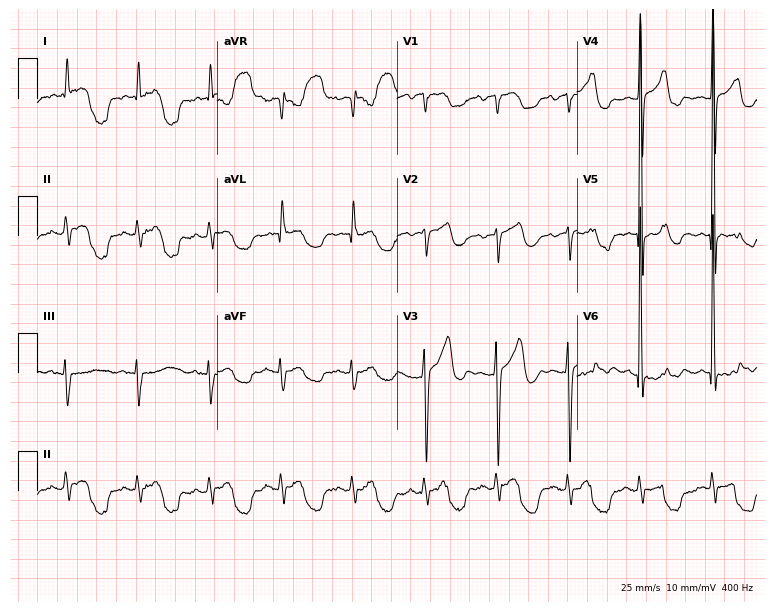
ECG — a 60-year-old male. Screened for six findings — first-degree AV block, right bundle branch block (RBBB), left bundle branch block (LBBB), sinus bradycardia, atrial fibrillation (AF), sinus tachycardia — none is recorded.